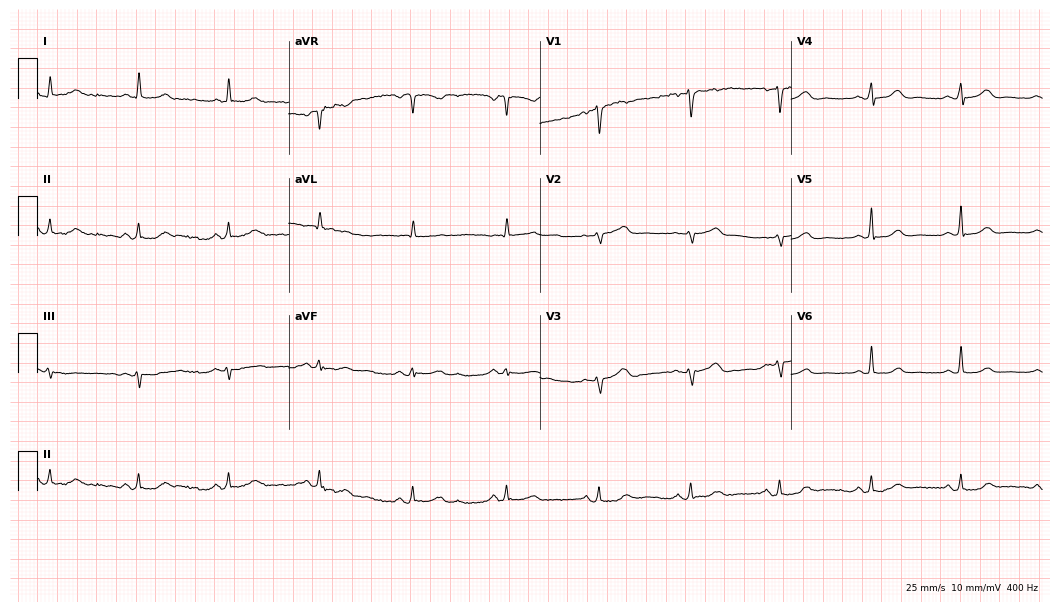
Standard 12-lead ECG recorded from a 48-year-old female patient (10.2-second recording at 400 Hz). Read as a normal ECG.